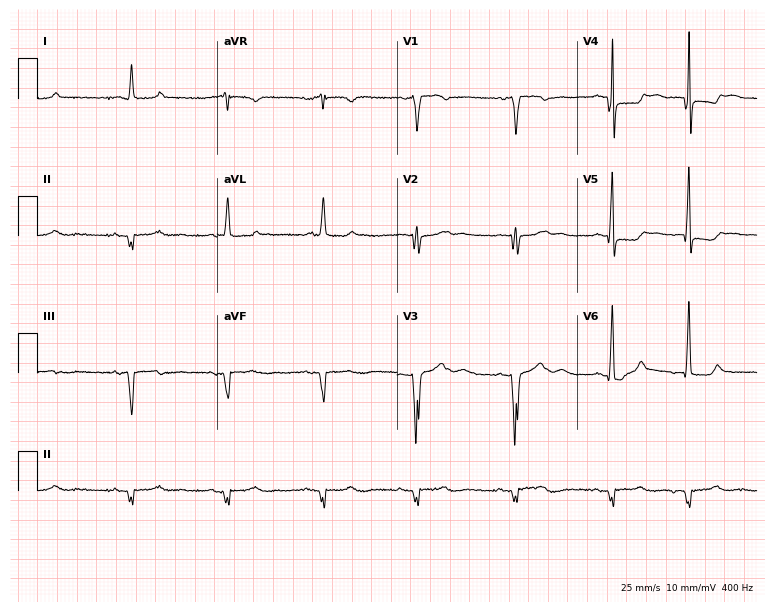
12-lead ECG (7.3-second recording at 400 Hz) from a male, 79 years old. Screened for six findings — first-degree AV block, right bundle branch block, left bundle branch block, sinus bradycardia, atrial fibrillation, sinus tachycardia — none is recorded. Findings outside these six are not listed.